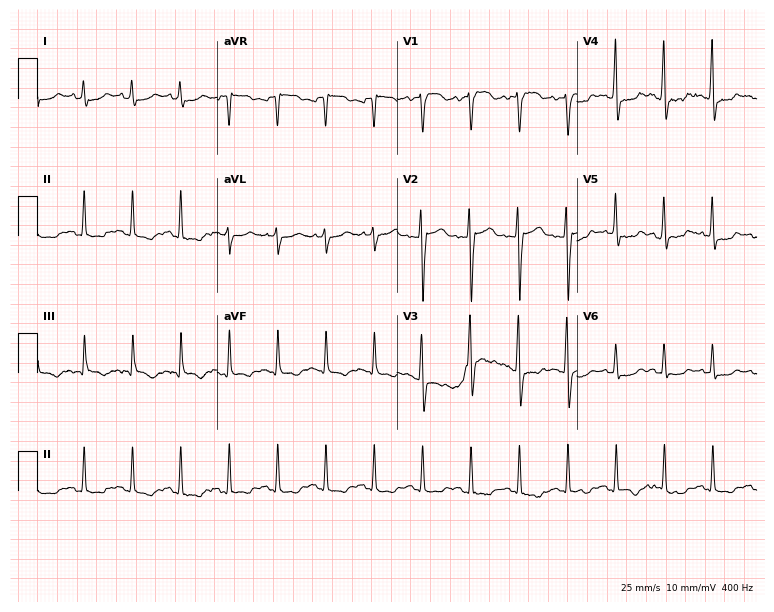
12-lead ECG from a male, 61 years old. Shows sinus tachycardia (a sinus rate of 100 beats per minute or more).